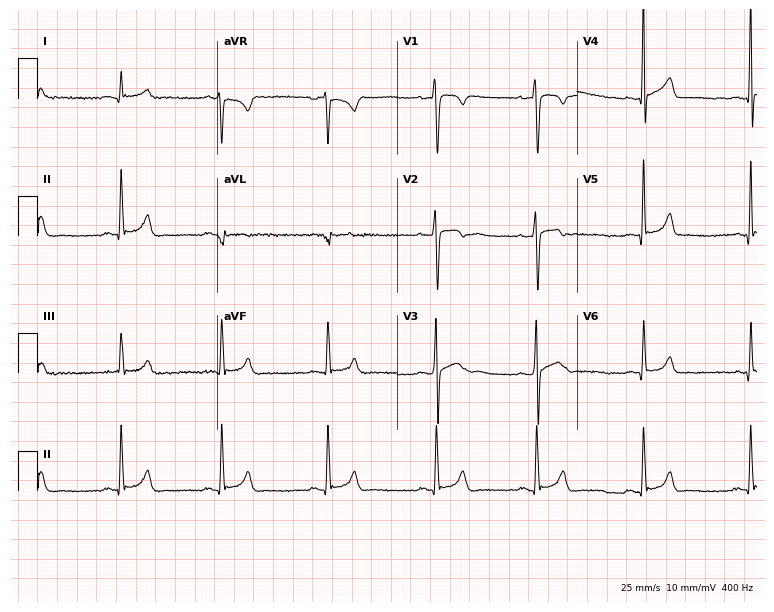
ECG (7.3-second recording at 400 Hz) — a man, 28 years old. Screened for six findings — first-degree AV block, right bundle branch block, left bundle branch block, sinus bradycardia, atrial fibrillation, sinus tachycardia — none is recorded.